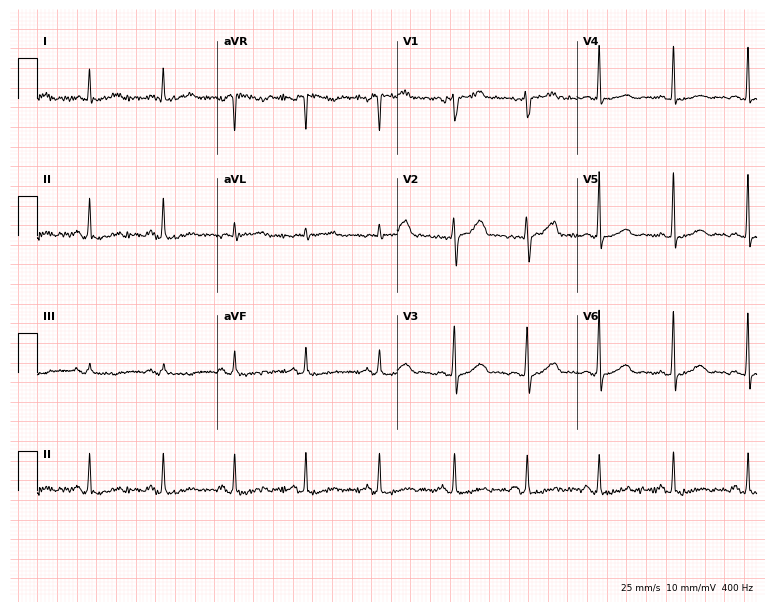
Electrocardiogram, a 47-year-old female. Of the six screened findings (first-degree AV block, right bundle branch block, left bundle branch block, sinus bradycardia, atrial fibrillation, sinus tachycardia), none is recorded. Only these six findings were labelled.